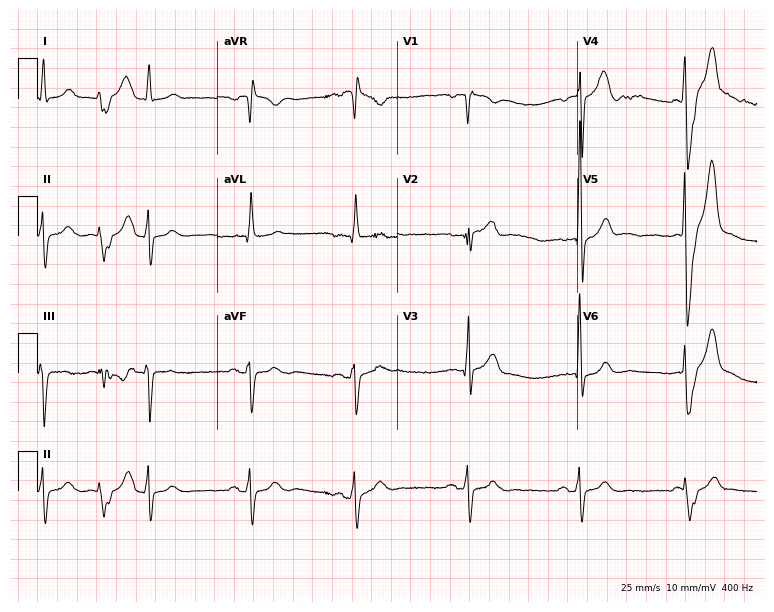
Electrocardiogram (7.3-second recording at 400 Hz), a 75-year-old male patient. Of the six screened findings (first-degree AV block, right bundle branch block (RBBB), left bundle branch block (LBBB), sinus bradycardia, atrial fibrillation (AF), sinus tachycardia), none is recorded. Findings outside these six are not listed.